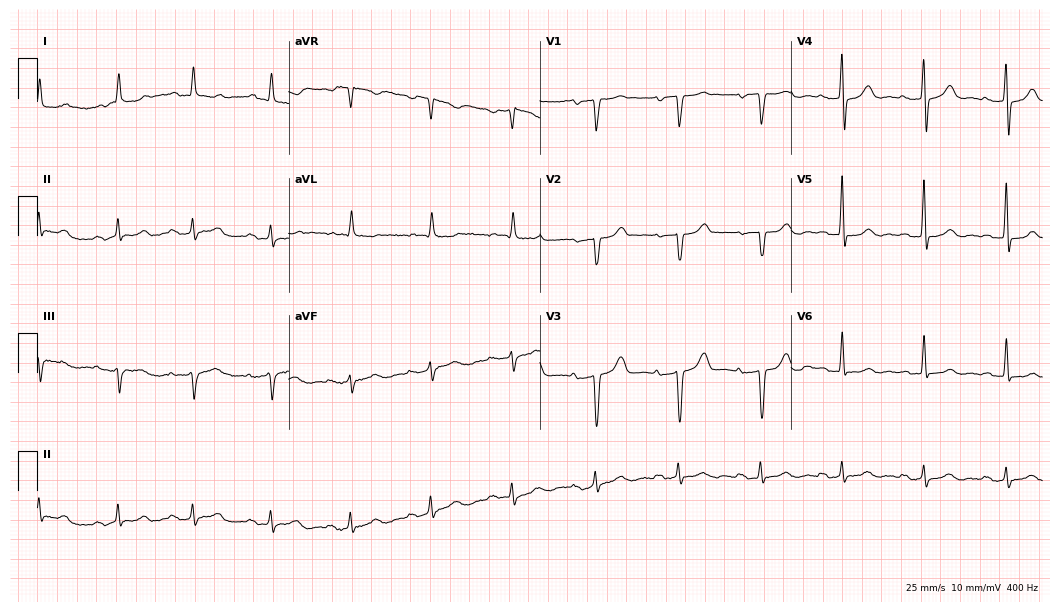
12-lead ECG from a female patient, 73 years old (10.2-second recording at 400 Hz). Shows first-degree AV block.